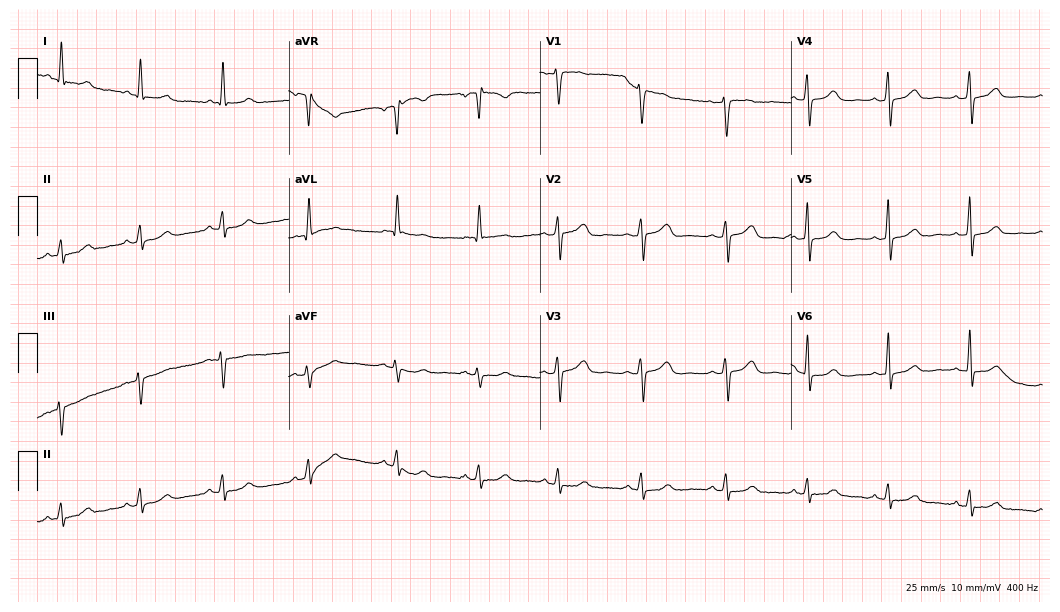
12-lead ECG from a 50-year-old woman. Screened for six findings — first-degree AV block, right bundle branch block, left bundle branch block, sinus bradycardia, atrial fibrillation, sinus tachycardia — none is recorded.